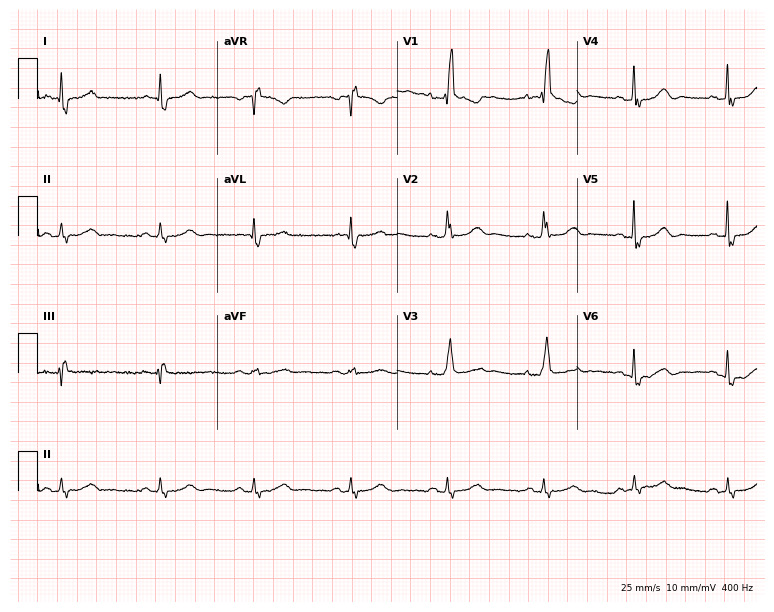
12-lead ECG from a 74-year-old female. Shows right bundle branch block.